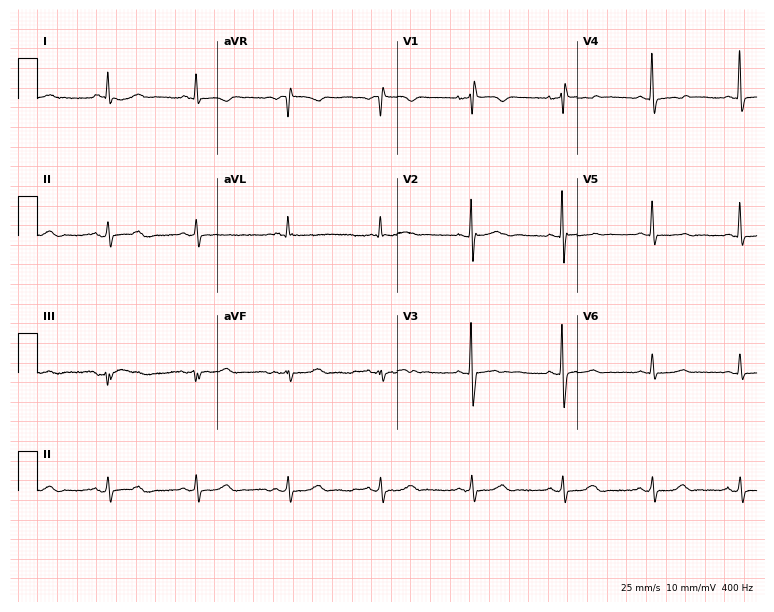
Electrocardiogram, an 82-year-old female. Of the six screened findings (first-degree AV block, right bundle branch block (RBBB), left bundle branch block (LBBB), sinus bradycardia, atrial fibrillation (AF), sinus tachycardia), none is recorded. Other findings, if any, are not listed.